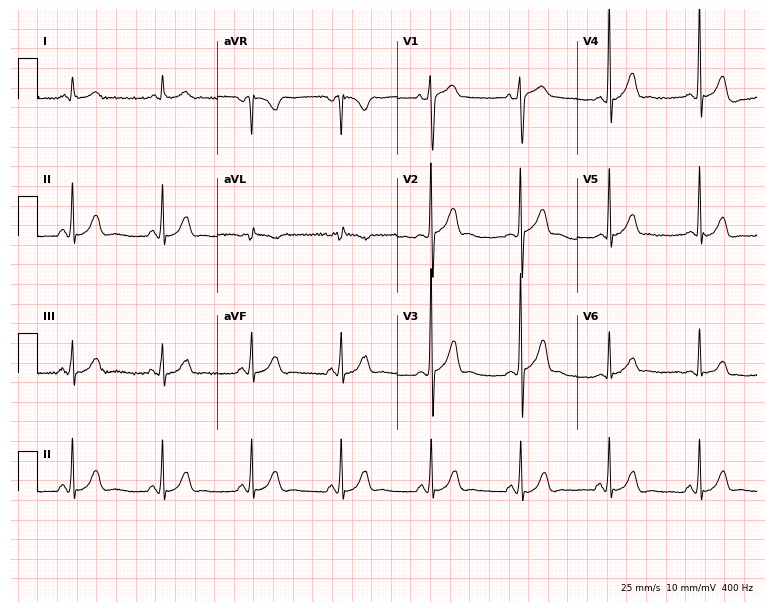
Resting 12-lead electrocardiogram. Patient: a man, 44 years old. Read as a normal ECG.